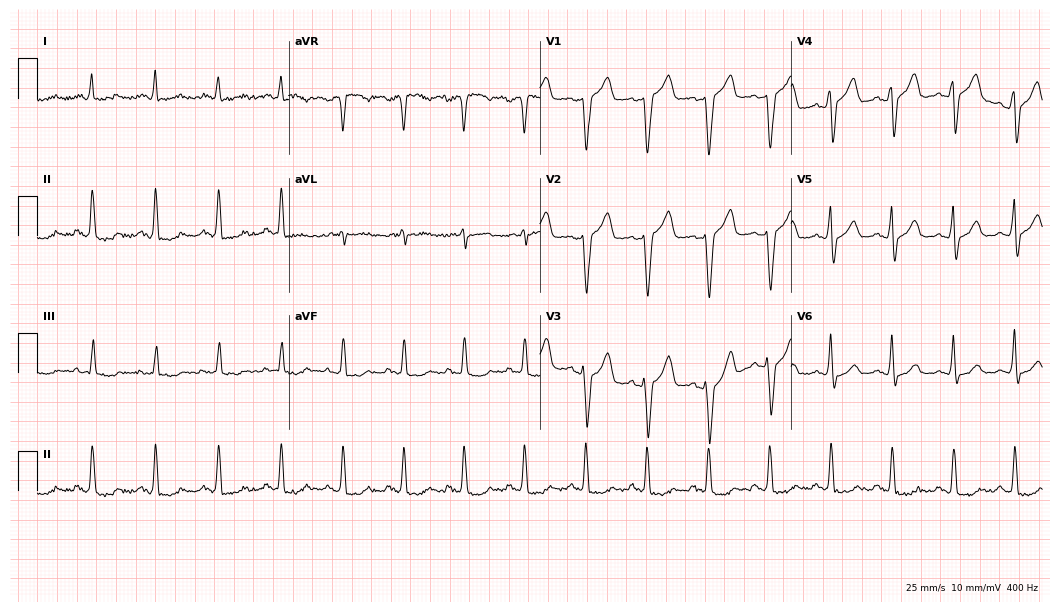
12-lead ECG from a 72-year-old male. No first-degree AV block, right bundle branch block, left bundle branch block, sinus bradycardia, atrial fibrillation or sinus tachycardia recorded for this tracing.